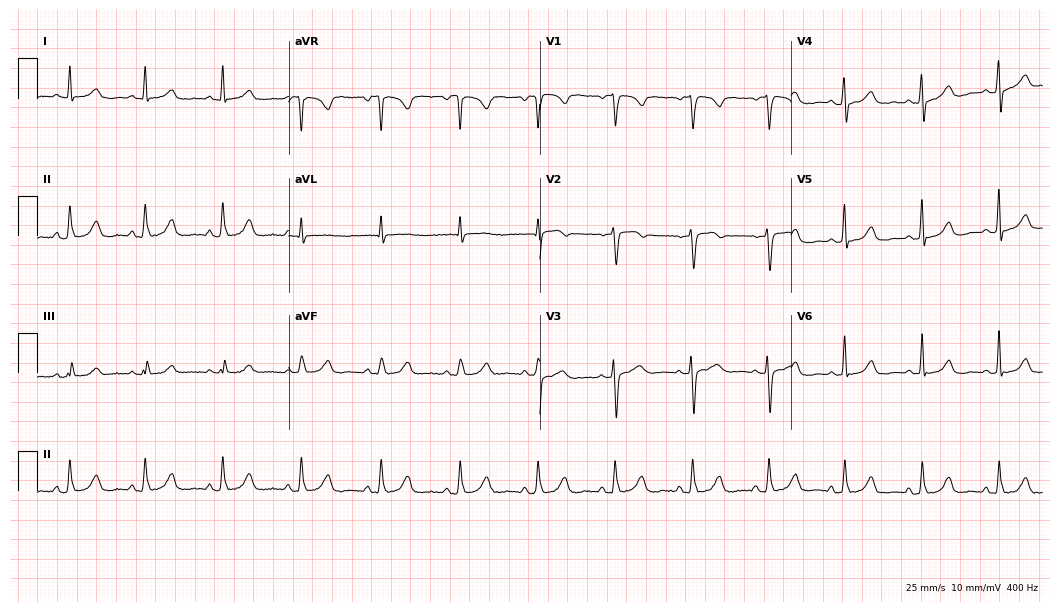
Electrocardiogram (10.2-second recording at 400 Hz), a female, 61 years old. Overall reading on record: normal ECG.